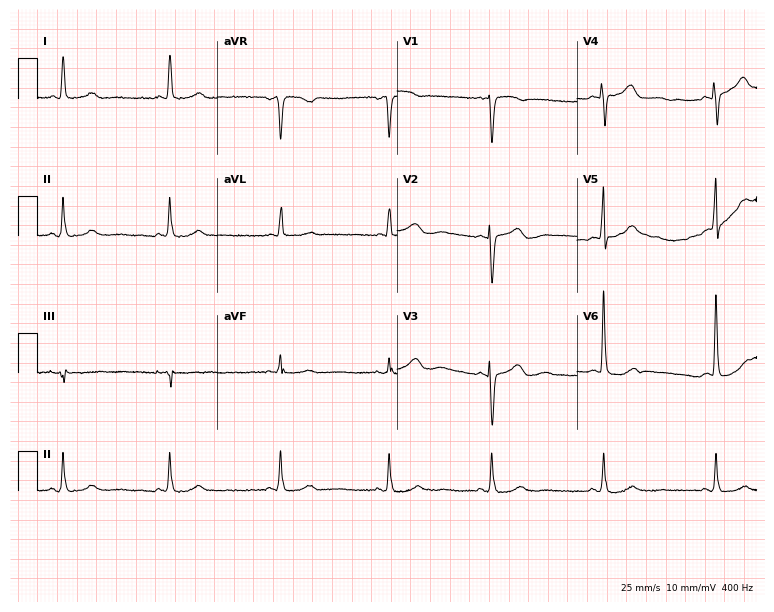
12-lead ECG from a 63-year-old female patient. Labelled as a normal ECG.